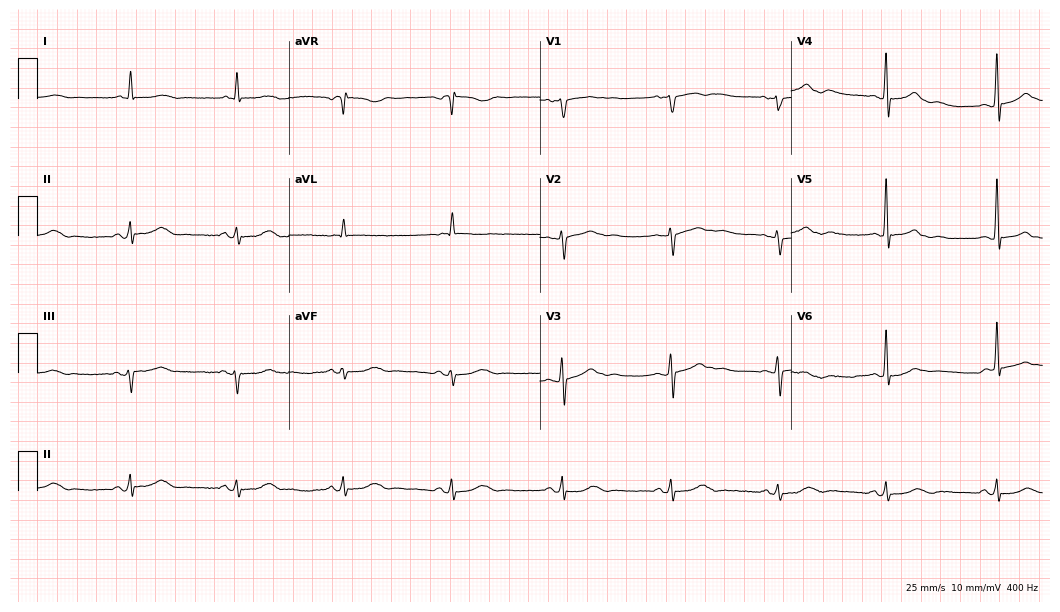
Standard 12-lead ECG recorded from a woman, 76 years old. Read as a normal ECG.